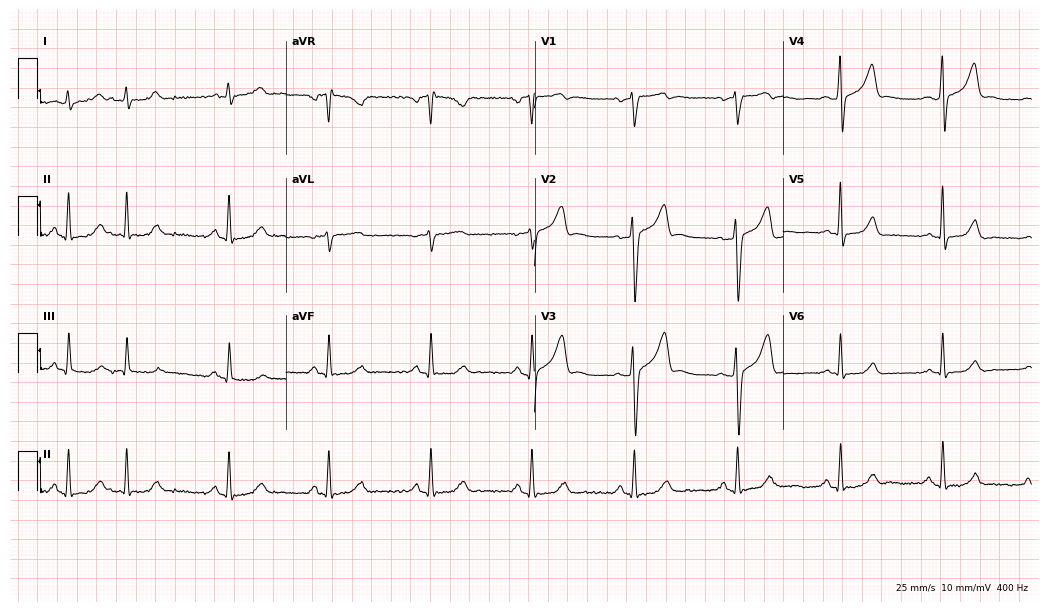
ECG — a 60-year-old female. Labelled as a normal ECG.